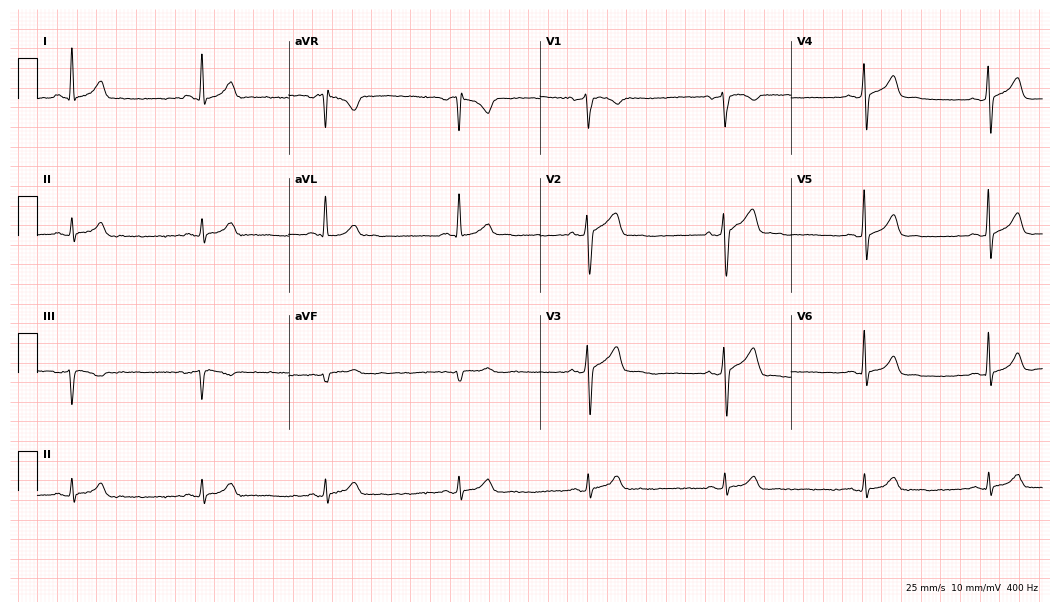
12-lead ECG from a 56-year-old man (10.2-second recording at 400 Hz). Shows sinus bradycardia (a sinus rate of 50 beats per minute or less).